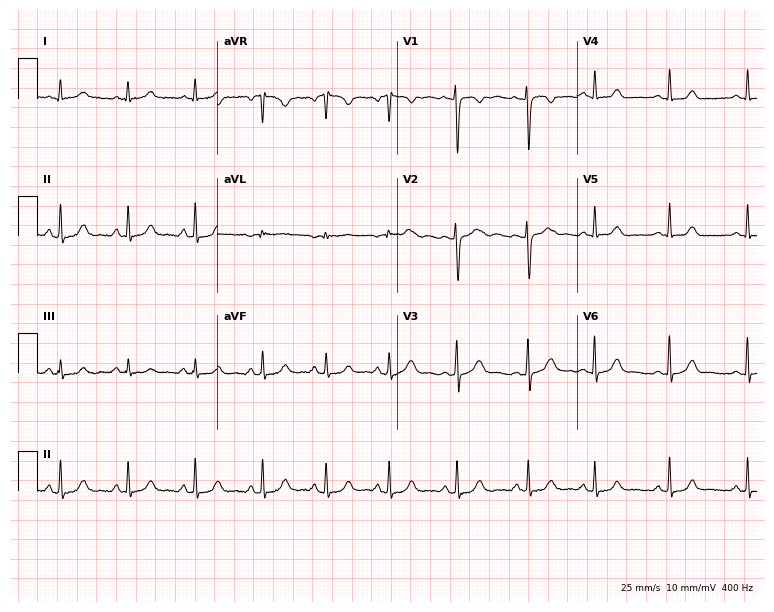
12-lead ECG from a woman, 19 years old. No first-degree AV block, right bundle branch block, left bundle branch block, sinus bradycardia, atrial fibrillation or sinus tachycardia recorded for this tracing.